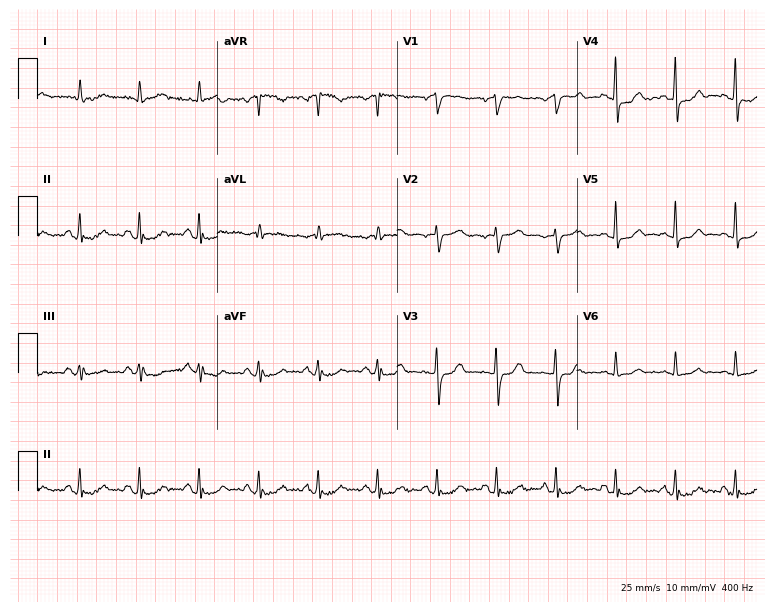
12-lead ECG from a male, 73 years old. No first-degree AV block, right bundle branch block, left bundle branch block, sinus bradycardia, atrial fibrillation or sinus tachycardia recorded for this tracing.